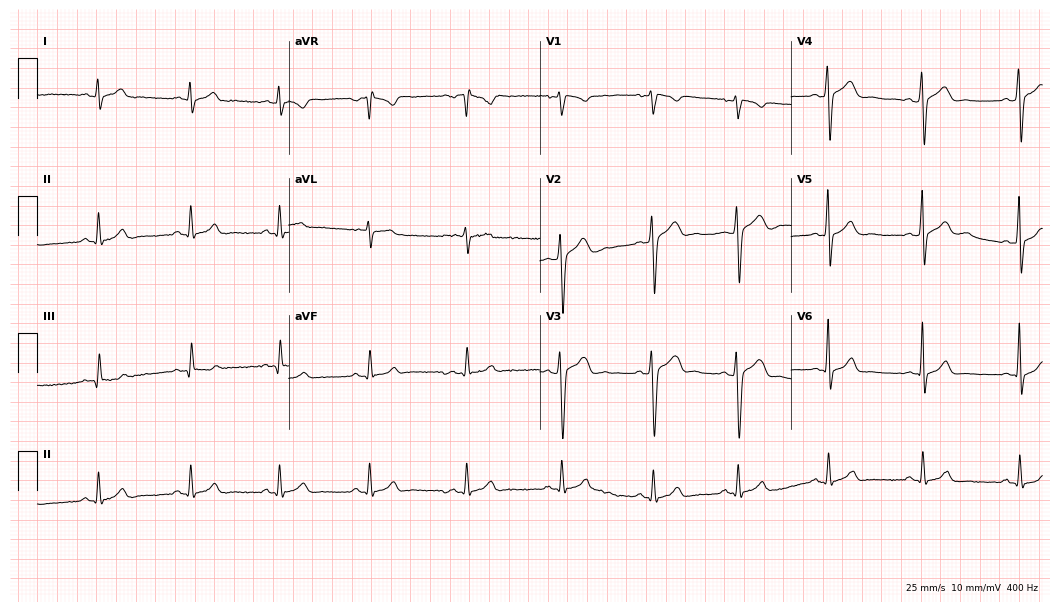
ECG (10.2-second recording at 400 Hz) — a male patient, 22 years old. Screened for six findings — first-degree AV block, right bundle branch block, left bundle branch block, sinus bradycardia, atrial fibrillation, sinus tachycardia — none is recorded. Findings outside these six are not listed.